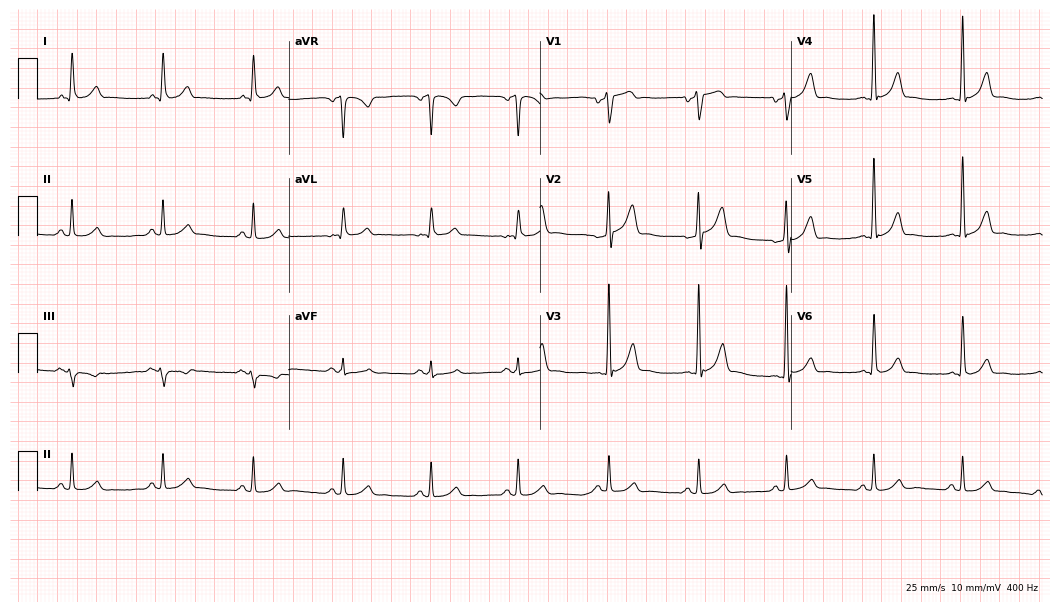
Electrocardiogram (10.2-second recording at 400 Hz), a male, 54 years old. Of the six screened findings (first-degree AV block, right bundle branch block (RBBB), left bundle branch block (LBBB), sinus bradycardia, atrial fibrillation (AF), sinus tachycardia), none is recorded.